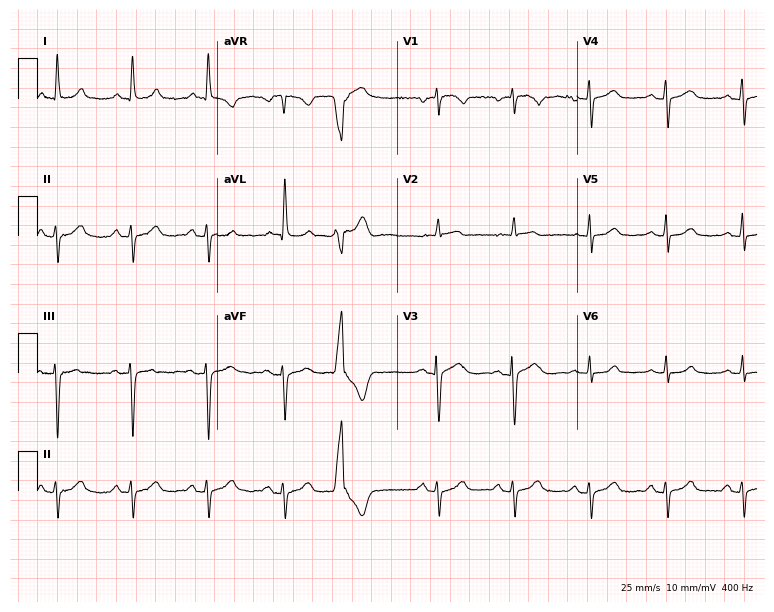
ECG (7.3-second recording at 400 Hz) — an 81-year-old female. Screened for six findings — first-degree AV block, right bundle branch block, left bundle branch block, sinus bradycardia, atrial fibrillation, sinus tachycardia — none is recorded.